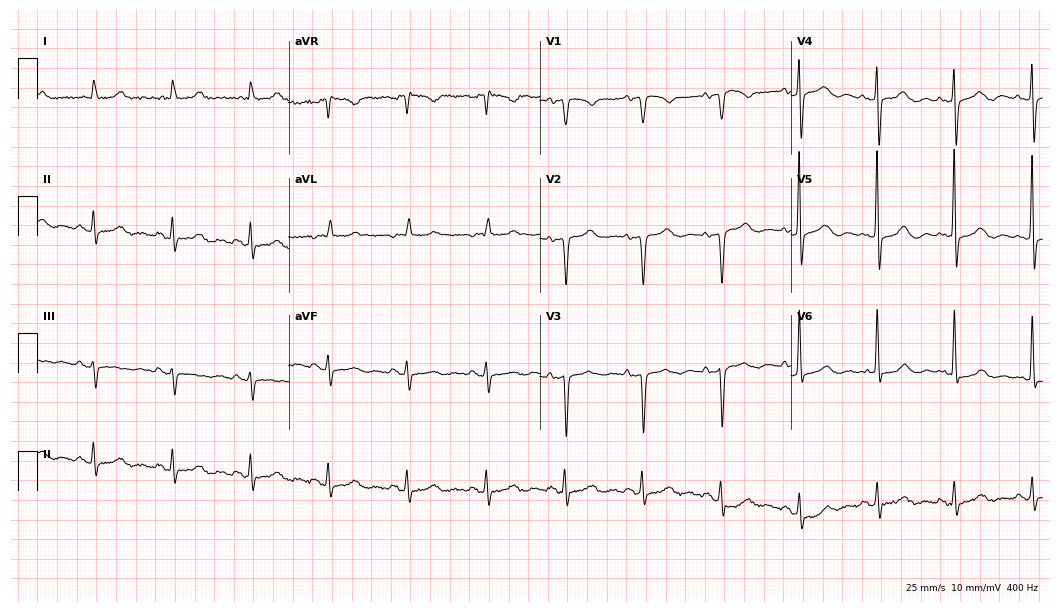
Resting 12-lead electrocardiogram. Patient: a female, 79 years old. Read as a normal ECG.